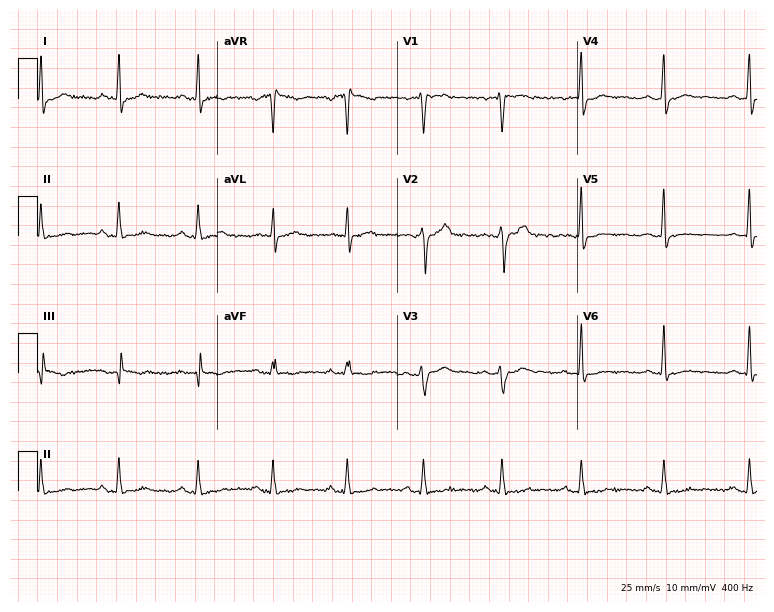
Resting 12-lead electrocardiogram (7.3-second recording at 400 Hz). Patient: a male, 46 years old. None of these six findings is recorded: first-degree AV block, right bundle branch block, left bundle branch block, sinus bradycardia, atrial fibrillation, sinus tachycardia. Only these six findings were labelled.